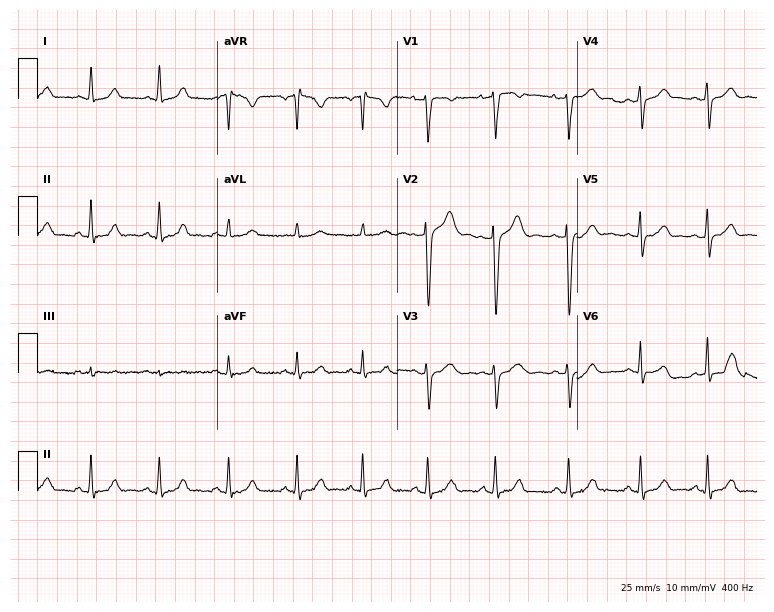
12-lead ECG from a 31-year-old woman. No first-degree AV block, right bundle branch block (RBBB), left bundle branch block (LBBB), sinus bradycardia, atrial fibrillation (AF) or sinus tachycardia recorded for this tracing.